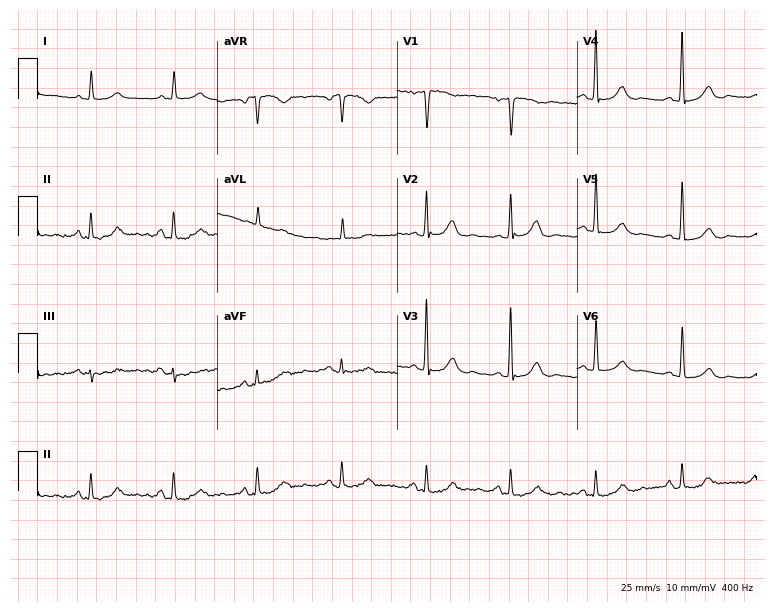
12-lead ECG from a 72-year-old male patient. No first-degree AV block, right bundle branch block, left bundle branch block, sinus bradycardia, atrial fibrillation or sinus tachycardia recorded for this tracing.